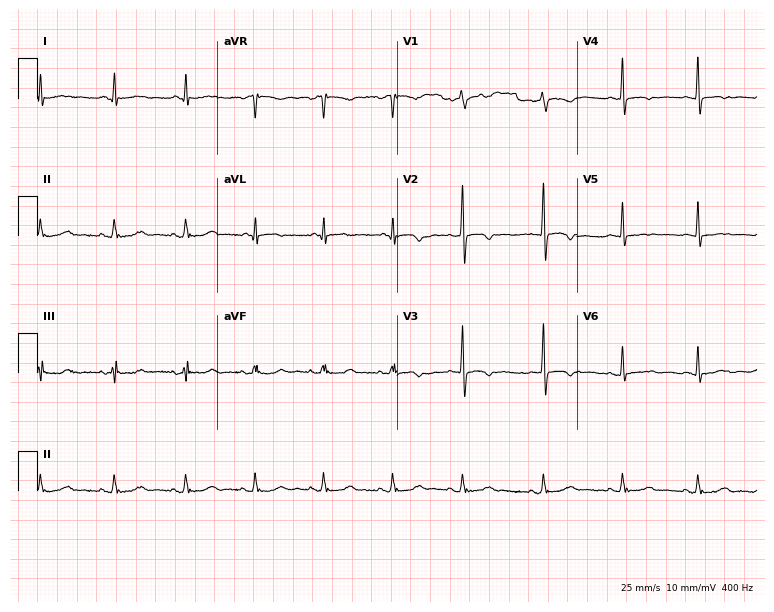
ECG — a 73-year-old female. Labelled as a normal ECG.